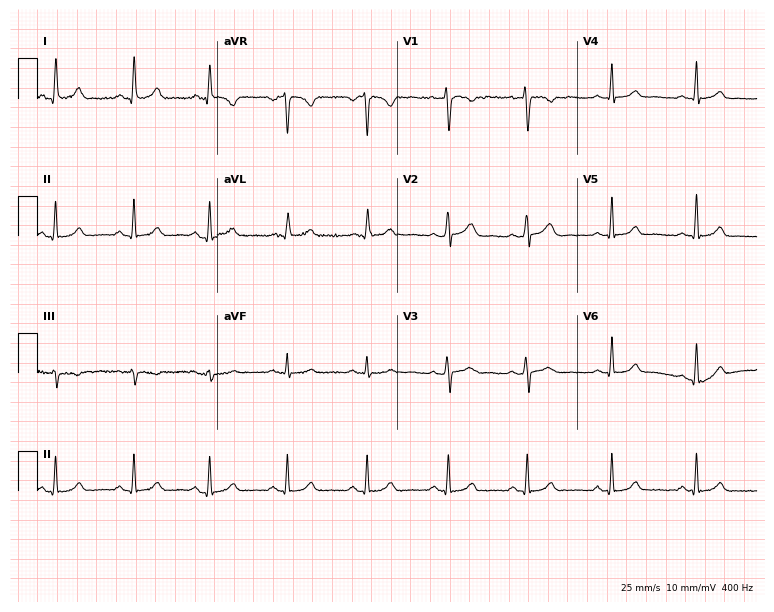
12-lead ECG from a 37-year-old female patient. Labelled as a normal ECG.